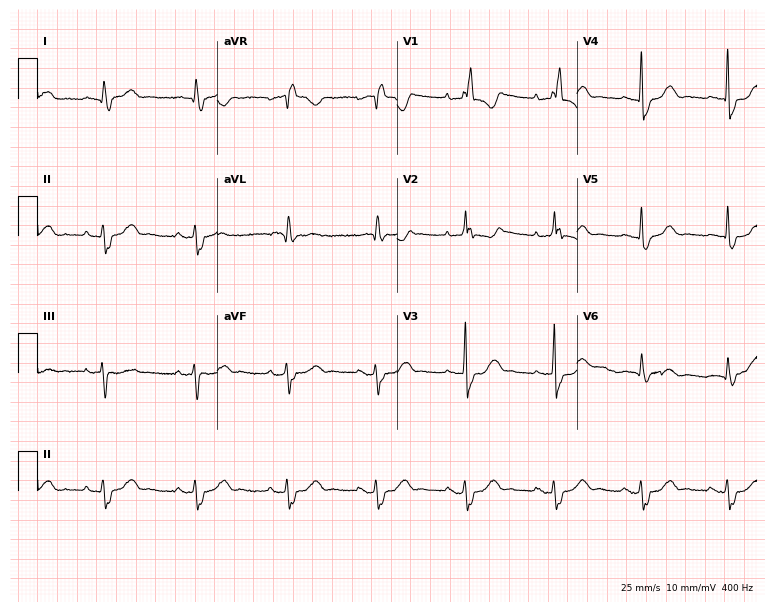
12-lead ECG (7.3-second recording at 400 Hz) from a 74-year-old woman. Screened for six findings — first-degree AV block, right bundle branch block, left bundle branch block, sinus bradycardia, atrial fibrillation, sinus tachycardia — none is recorded. Other findings, if any, are not listed.